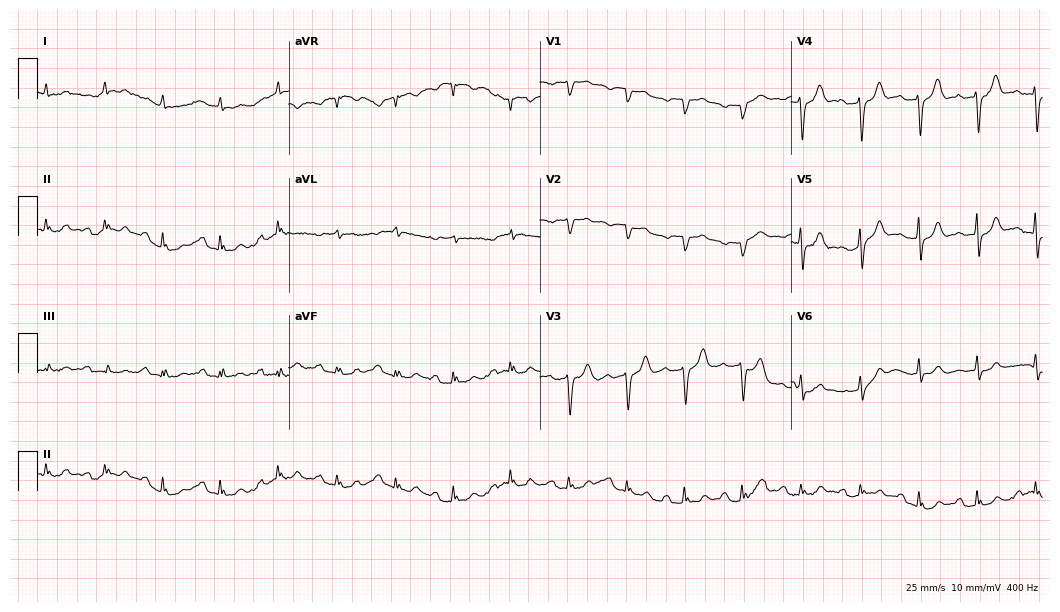
Resting 12-lead electrocardiogram. Patient: a male, 84 years old. The tracing shows sinus tachycardia (a sinus rate of 100 beats per minute or more).